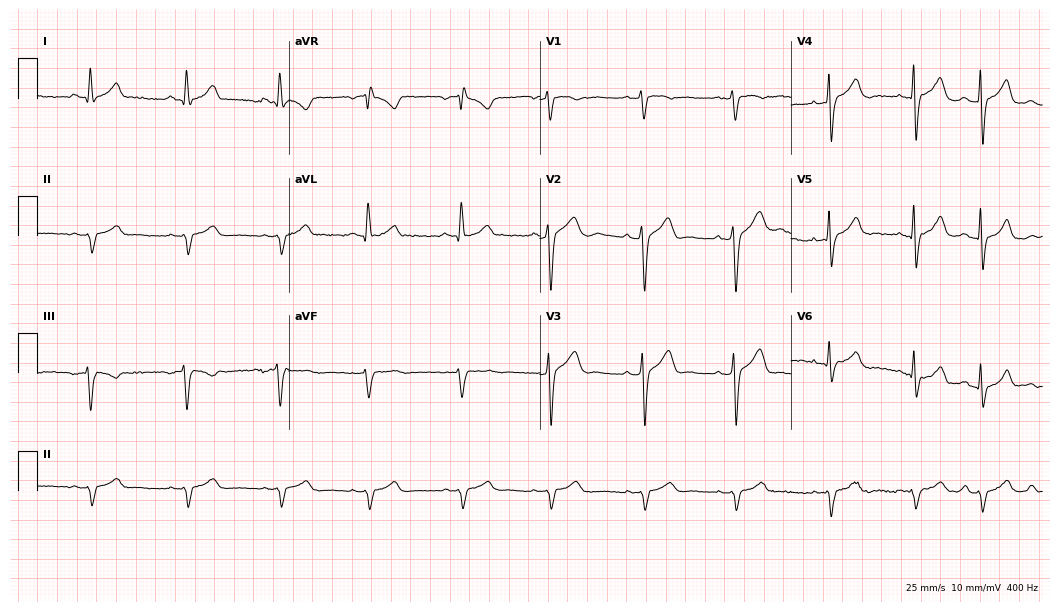
Electrocardiogram, a male, 26 years old. Of the six screened findings (first-degree AV block, right bundle branch block (RBBB), left bundle branch block (LBBB), sinus bradycardia, atrial fibrillation (AF), sinus tachycardia), none is recorded. Findings outside these six are not listed.